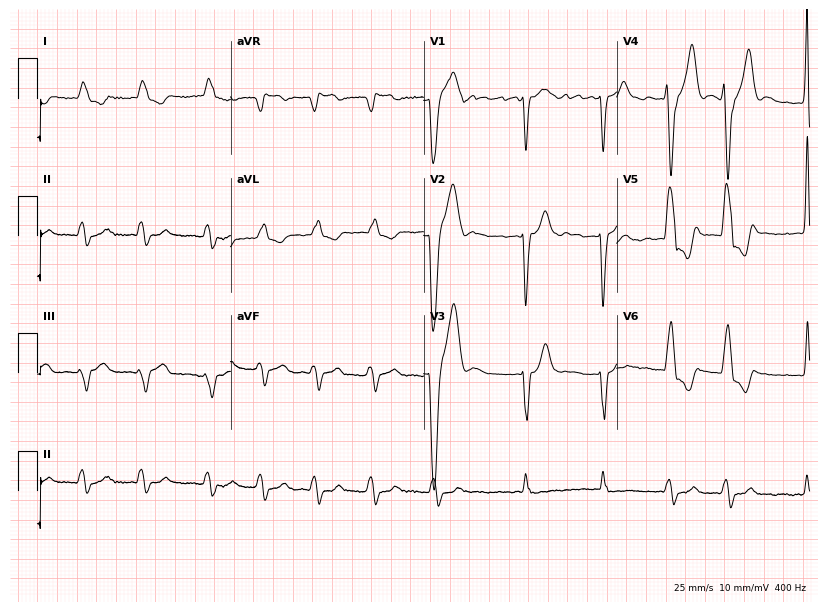
Electrocardiogram (7.9-second recording at 400 Hz), an 82-year-old man. Interpretation includes atrial fibrillation.